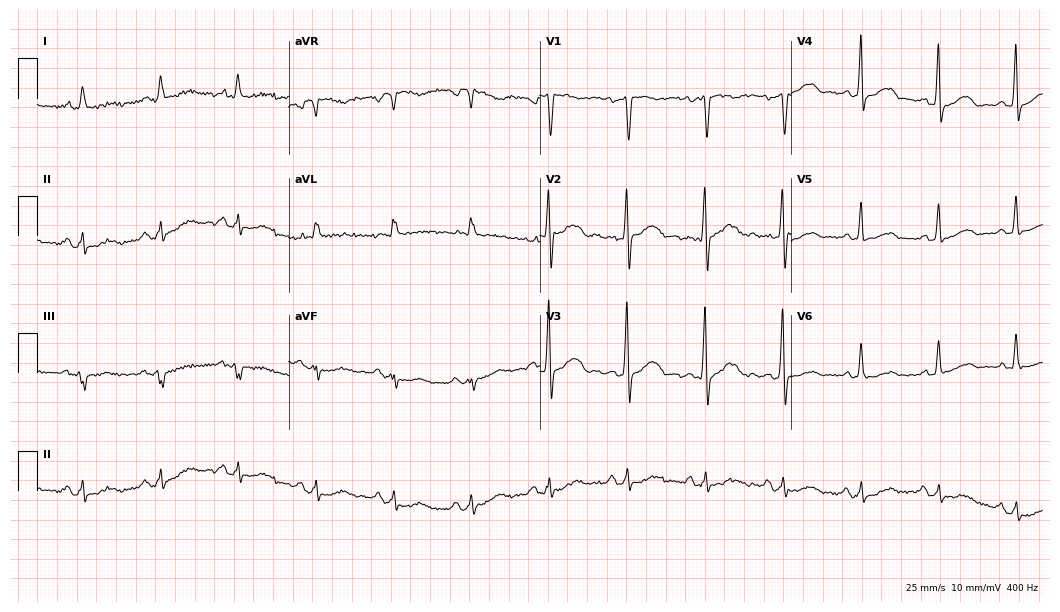
Standard 12-lead ECG recorded from a female, 83 years old (10.2-second recording at 400 Hz). Read as a normal ECG.